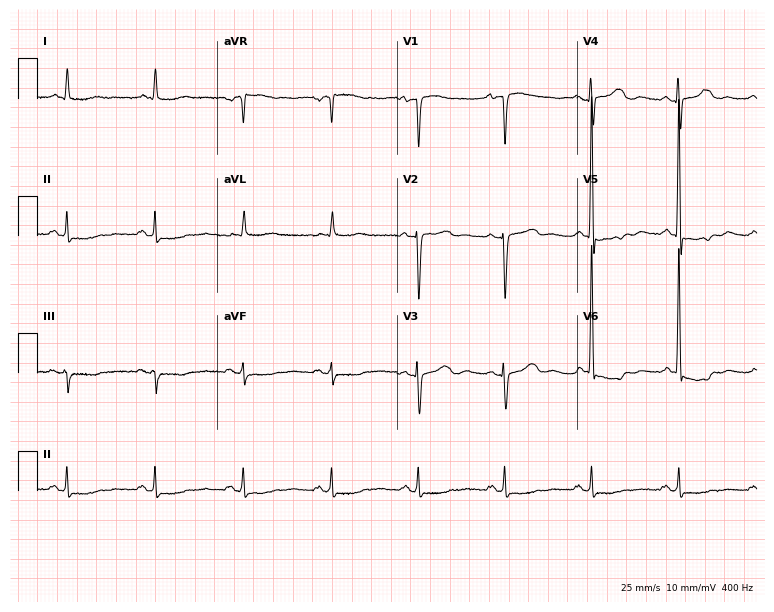
12-lead ECG from a 71-year-old female (7.3-second recording at 400 Hz). No first-degree AV block, right bundle branch block (RBBB), left bundle branch block (LBBB), sinus bradycardia, atrial fibrillation (AF) or sinus tachycardia recorded for this tracing.